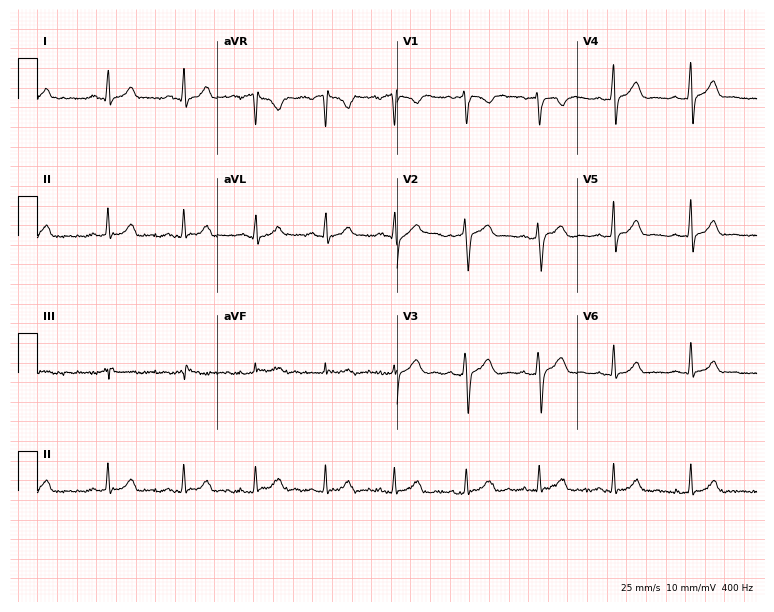
Electrocardiogram (7.3-second recording at 400 Hz), a 24-year-old male patient. Overall reading on record: normal ECG.